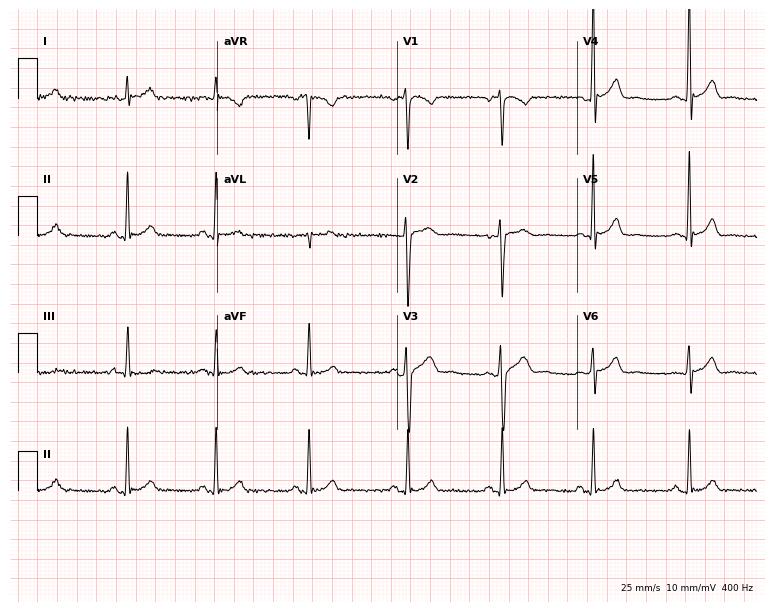
Electrocardiogram, a 23-year-old male patient. Overall reading on record: normal ECG.